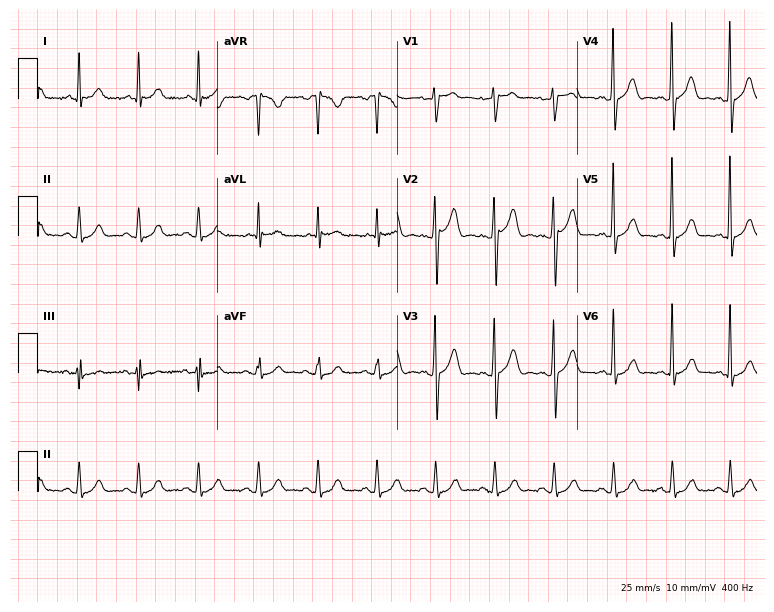
12-lead ECG (7.3-second recording at 400 Hz) from a male patient, 75 years old. Labelled as a normal ECG.